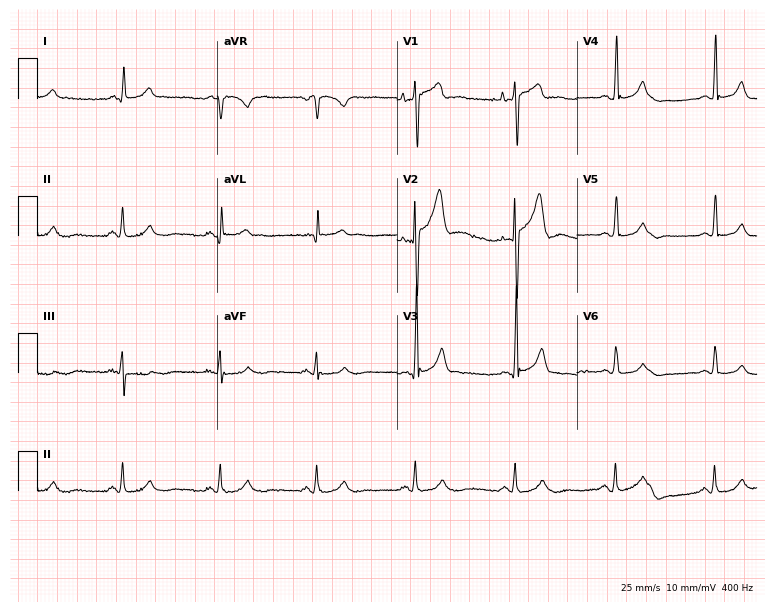
12-lead ECG from a 45-year-old male. Recorded interpretation: within normal limits.